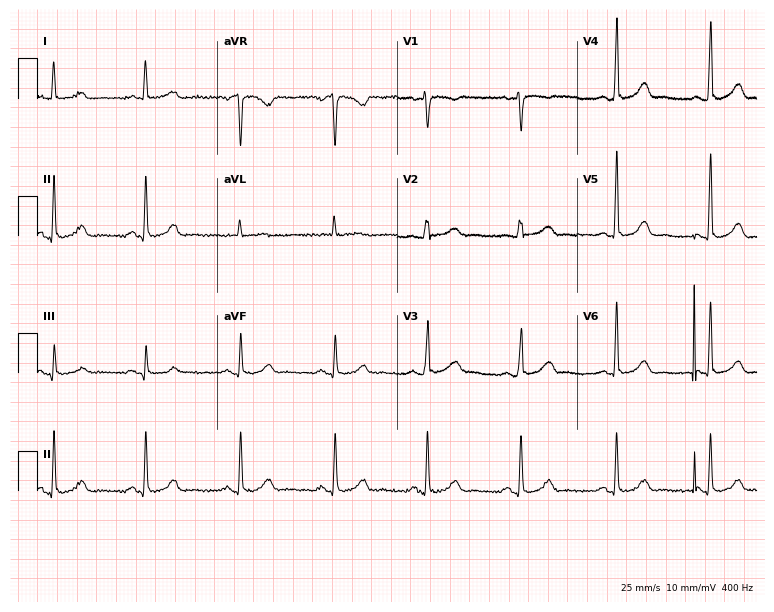
12-lead ECG (7.3-second recording at 400 Hz) from a female patient, 68 years old. Labelled as a normal ECG.